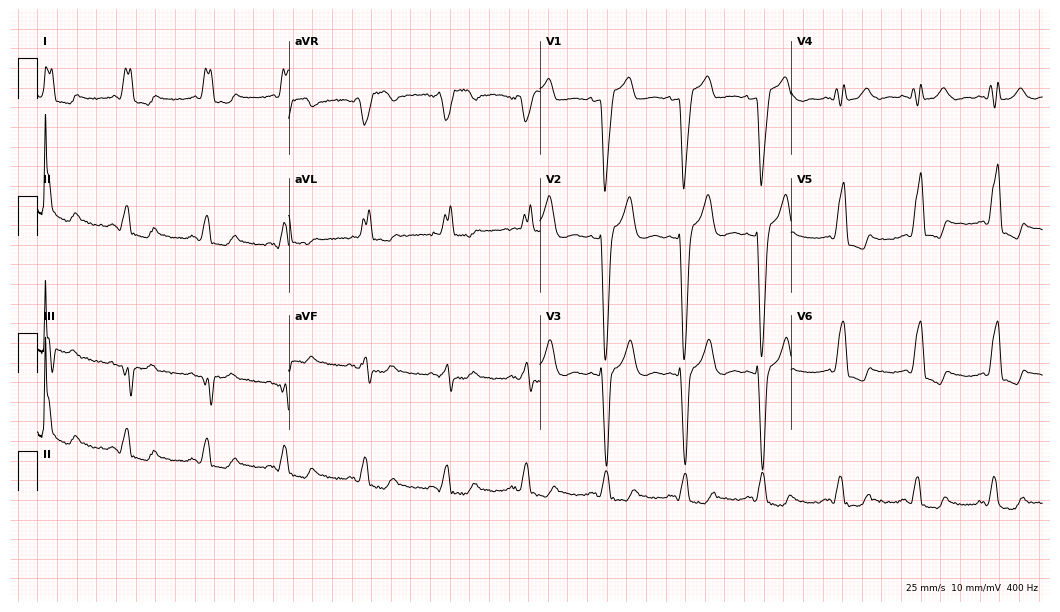
Resting 12-lead electrocardiogram (10.2-second recording at 400 Hz). Patient: a 59-year-old female. The tracing shows left bundle branch block.